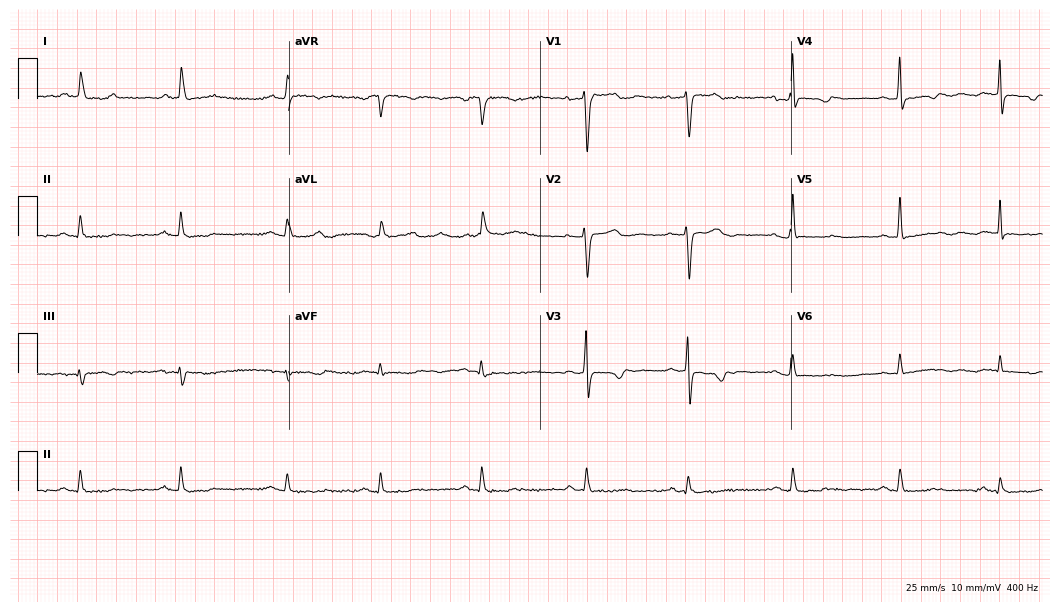
Resting 12-lead electrocardiogram. Patient: a 38-year-old woman. None of these six findings is recorded: first-degree AV block, right bundle branch block, left bundle branch block, sinus bradycardia, atrial fibrillation, sinus tachycardia.